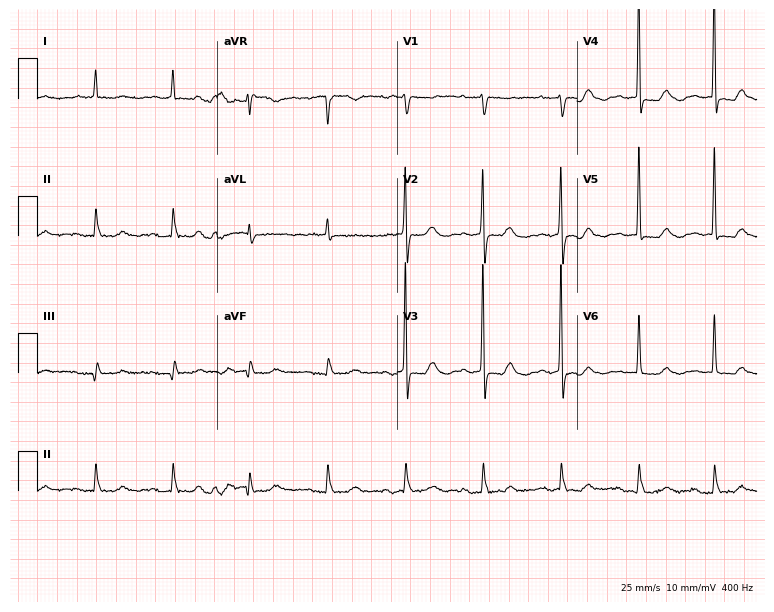
Electrocardiogram, an 81-year-old male patient. Of the six screened findings (first-degree AV block, right bundle branch block (RBBB), left bundle branch block (LBBB), sinus bradycardia, atrial fibrillation (AF), sinus tachycardia), none is recorded.